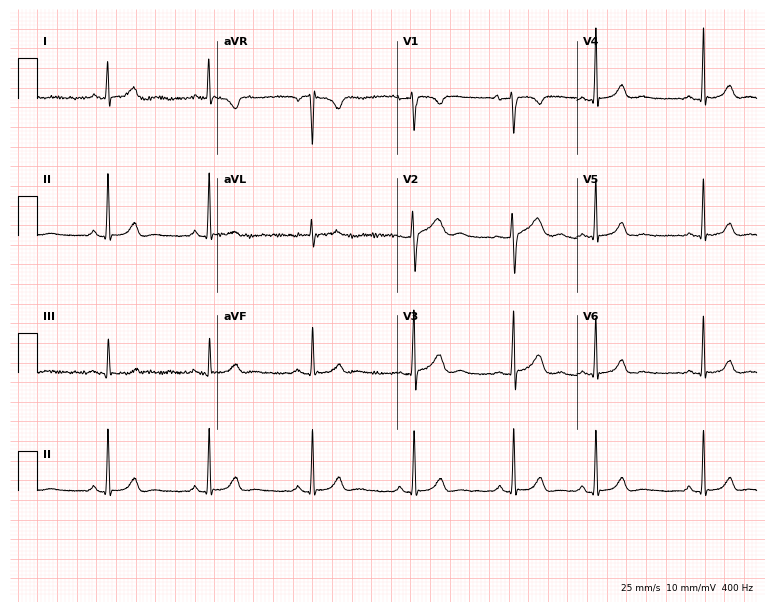
12-lead ECG from a female patient, 22 years old (7.3-second recording at 400 Hz). No first-degree AV block, right bundle branch block (RBBB), left bundle branch block (LBBB), sinus bradycardia, atrial fibrillation (AF) or sinus tachycardia recorded for this tracing.